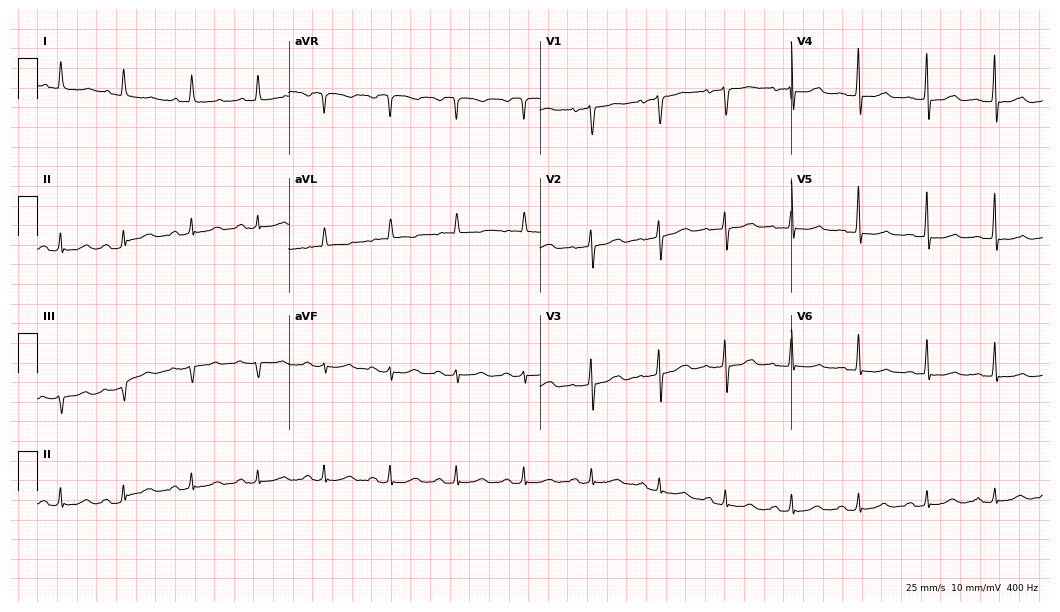
Electrocardiogram (10.2-second recording at 400 Hz), a 78-year-old female. Of the six screened findings (first-degree AV block, right bundle branch block (RBBB), left bundle branch block (LBBB), sinus bradycardia, atrial fibrillation (AF), sinus tachycardia), none is recorded. Only these six findings were labelled.